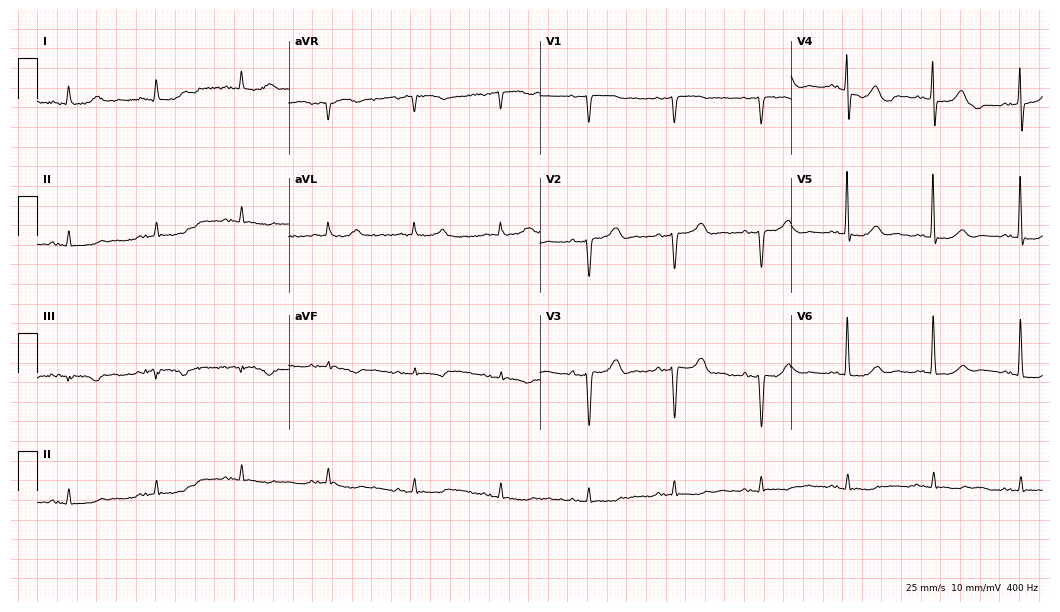
ECG — an 85-year-old male. Screened for six findings — first-degree AV block, right bundle branch block (RBBB), left bundle branch block (LBBB), sinus bradycardia, atrial fibrillation (AF), sinus tachycardia — none is recorded.